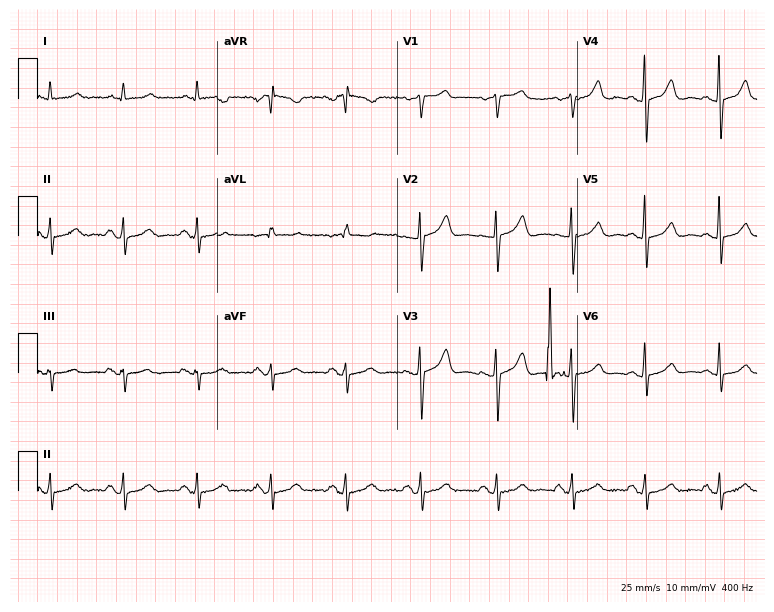
12-lead ECG from a female, 83 years old (7.3-second recording at 400 Hz). Recorded interpretation: within normal limits.